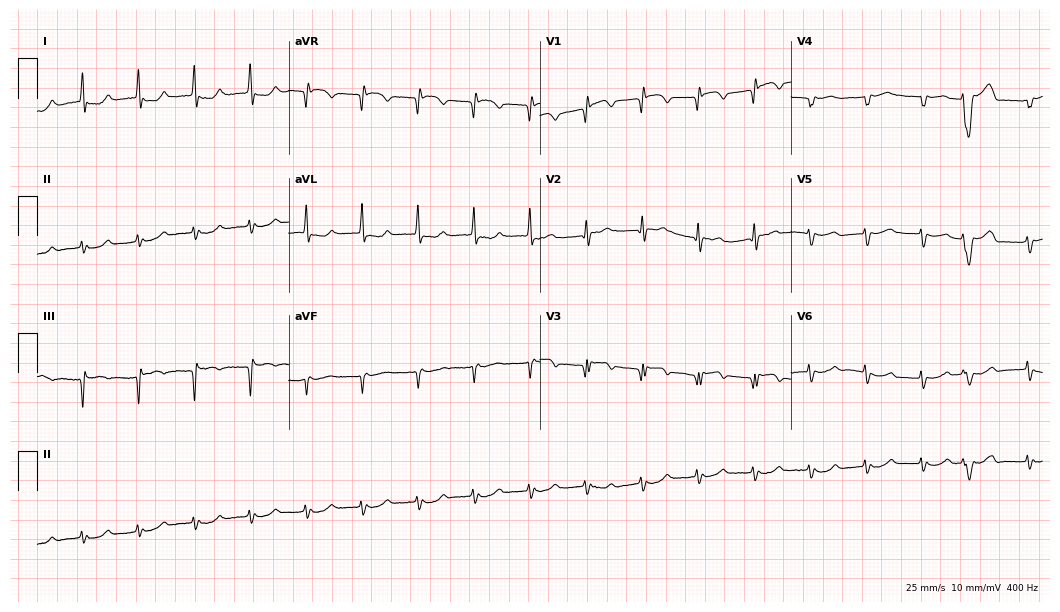
12-lead ECG from an 81-year-old woman. Findings include sinus tachycardia (a sinus rate of 100 beats per minute or more).